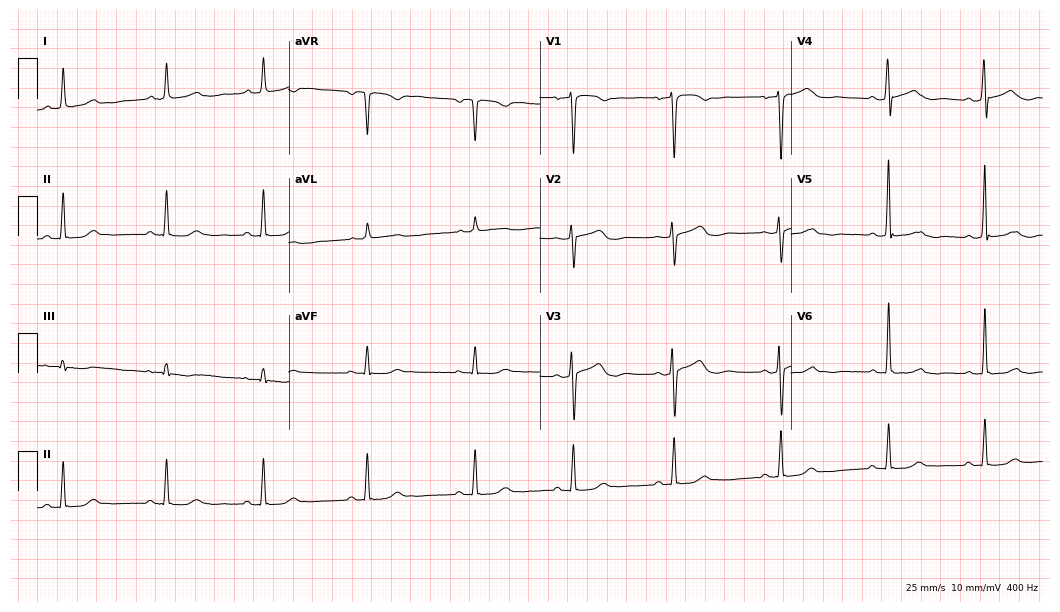
Resting 12-lead electrocardiogram (10.2-second recording at 400 Hz). Patient: a 51-year-old female. None of these six findings is recorded: first-degree AV block, right bundle branch block (RBBB), left bundle branch block (LBBB), sinus bradycardia, atrial fibrillation (AF), sinus tachycardia. Findings outside these six are not listed.